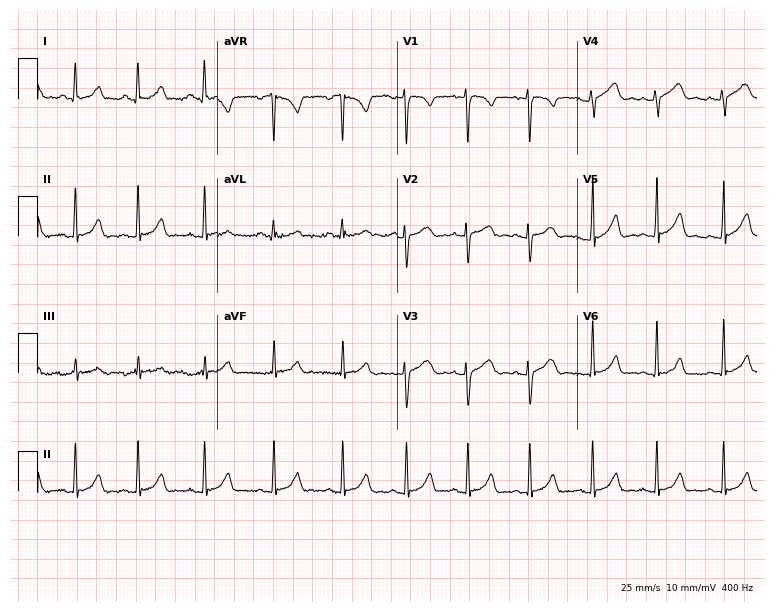
Electrocardiogram, a female, 23 years old. Overall reading on record: normal ECG.